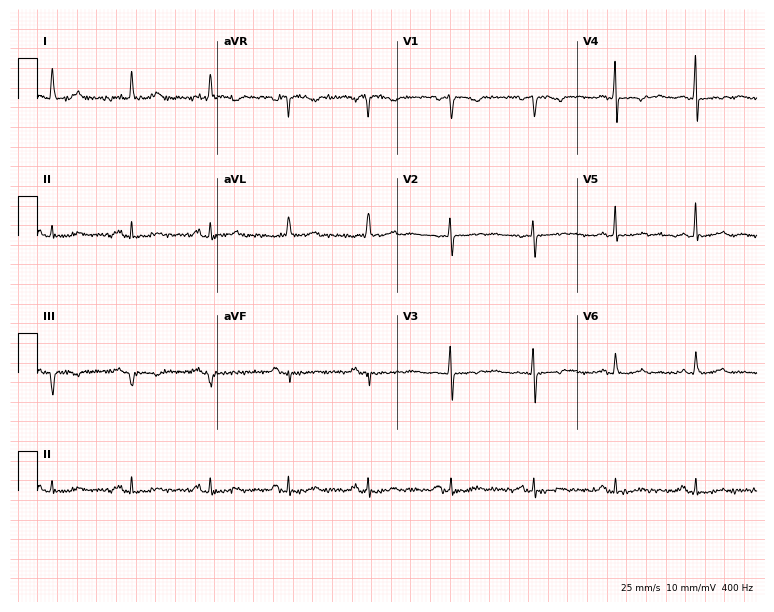
Electrocardiogram, a 62-year-old woman. Of the six screened findings (first-degree AV block, right bundle branch block, left bundle branch block, sinus bradycardia, atrial fibrillation, sinus tachycardia), none is recorded. Only these six findings were labelled.